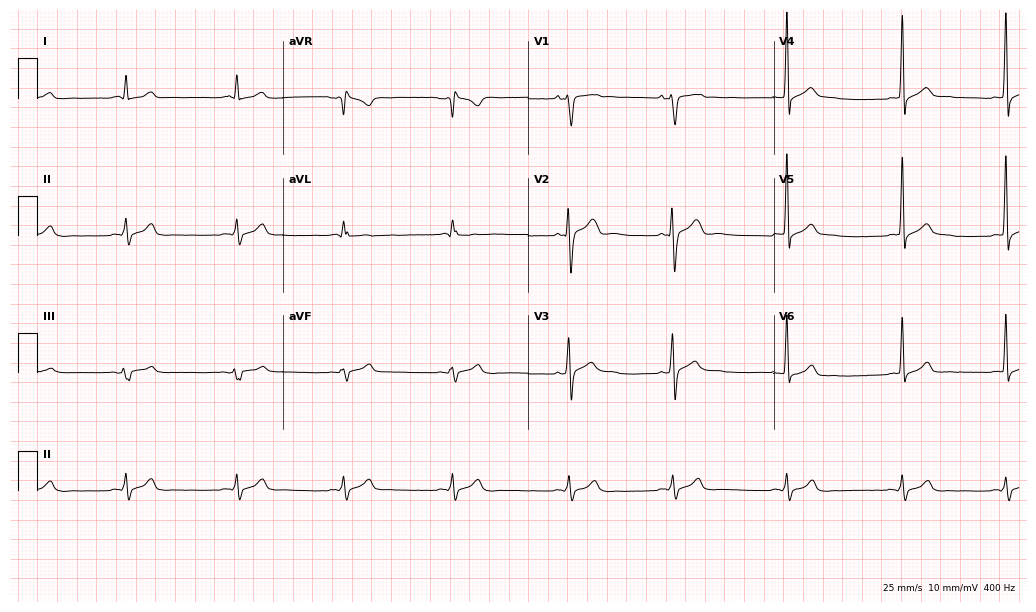
ECG — an 18-year-old male. Screened for six findings — first-degree AV block, right bundle branch block, left bundle branch block, sinus bradycardia, atrial fibrillation, sinus tachycardia — none is recorded.